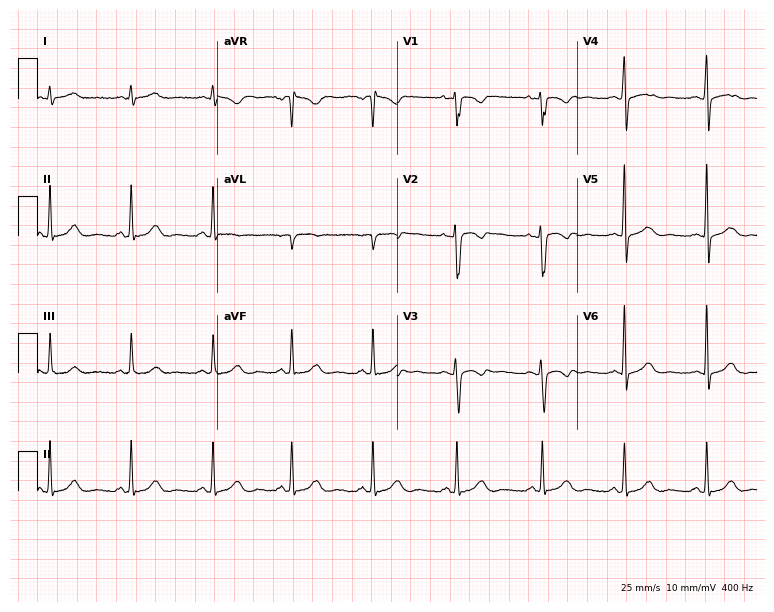
Resting 12-lead electrocardiogram. Patient: a 36-year-old woman. Read as a normal ECG.